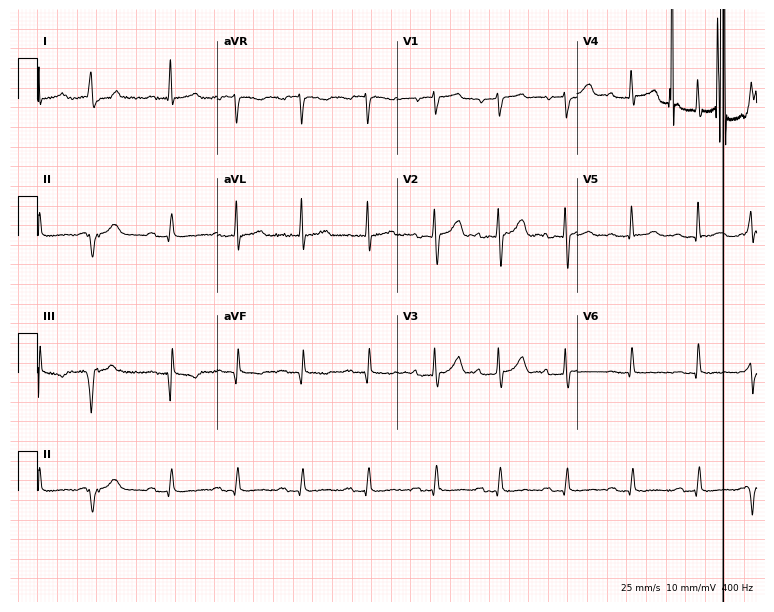
Standard 12-lead ECG recorded from a male patient, 75 years old. None of these six findings is recorded: first-degree AV block, right bundle branch block (RBBB), left bundle branch block (LBBB), sinus bradycardia, atrial fibrillation (AF), sinus tachycardia. Only these six findings were labelled.